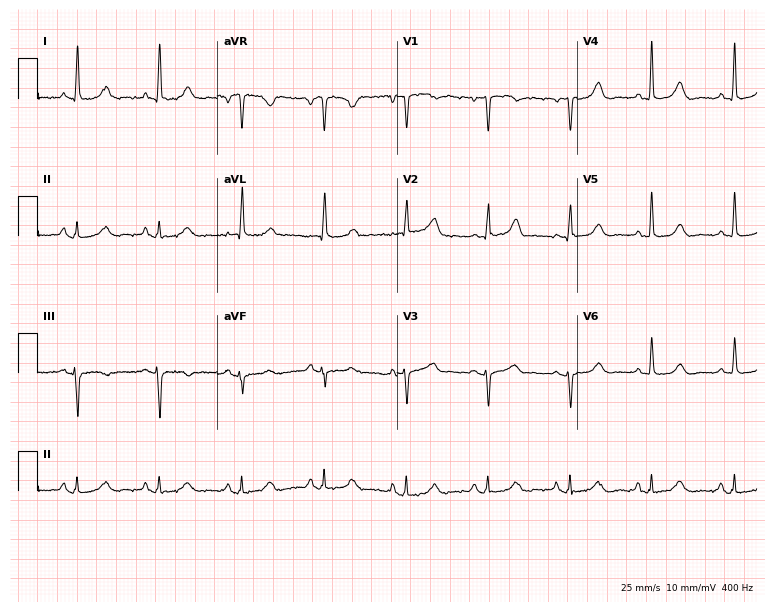
12-lead ECG (7.3-second recording at 400 Hz) from a female, 67 years old. Labelled as a normal ECG.